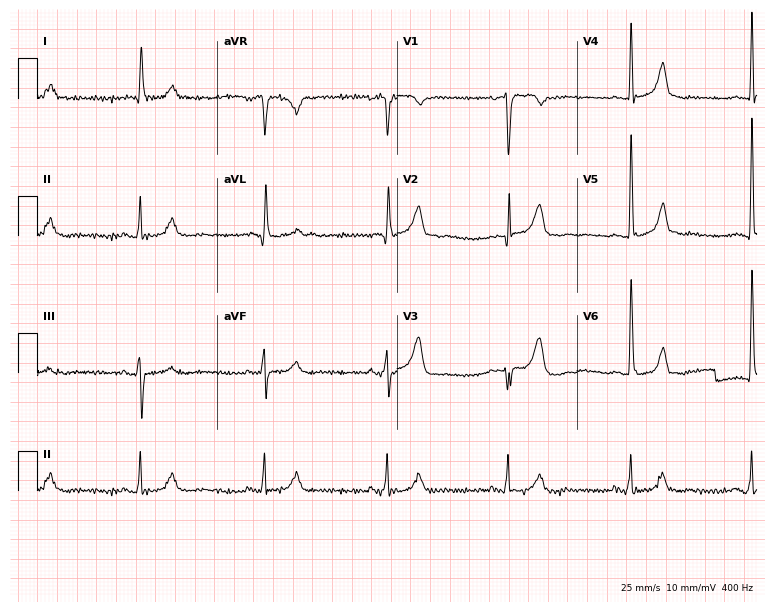
ECG — an 83-year-old male. Findings include sinus bradycardia (a sinus rate of 50 beats per minute or less).